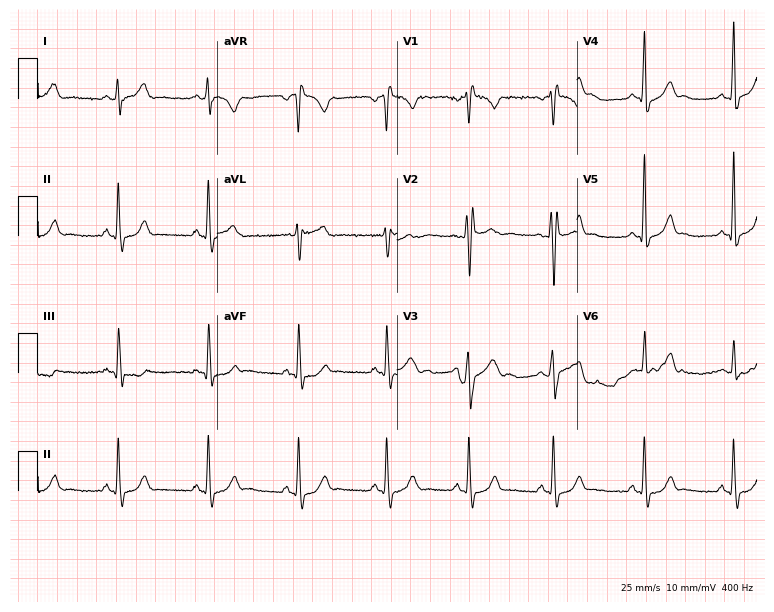
Standard 12-lead ECG recorded from a male, 19 years old (7.3-second recording at 400 Hz). None of these six findings is recorded: first-degree AV block, right bundle branch block, left bundle branch block, sinus bradycardia, atrial fibrillation, sinus tachycardia. Only these six findings were labelled.